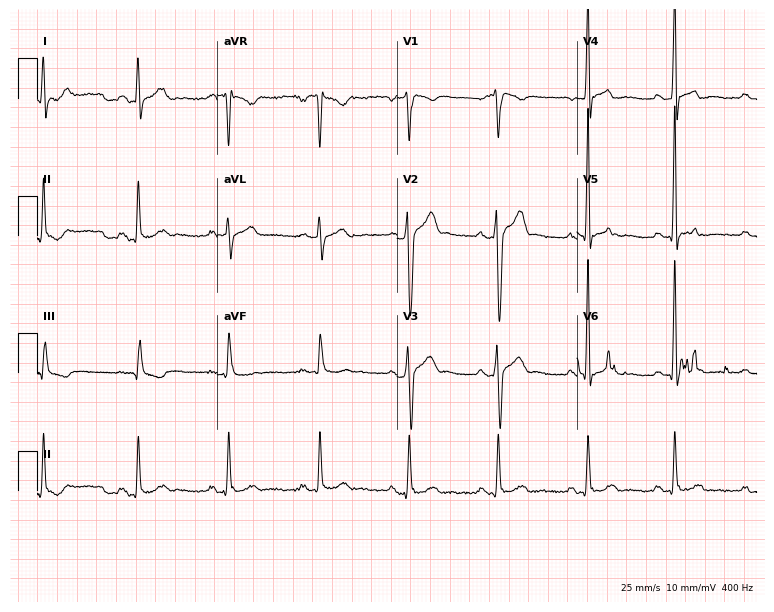
Electrocardiogram (7.3-second recording at 400 Hz), a male, 34 years old. Of the six screened findings (first-degree AV block, right bundle branch block, left bundle branch block, sinus bradycardia, atrial fibrillation, sinus tachycardia), none is recorded. Findings outside these six are not listed.